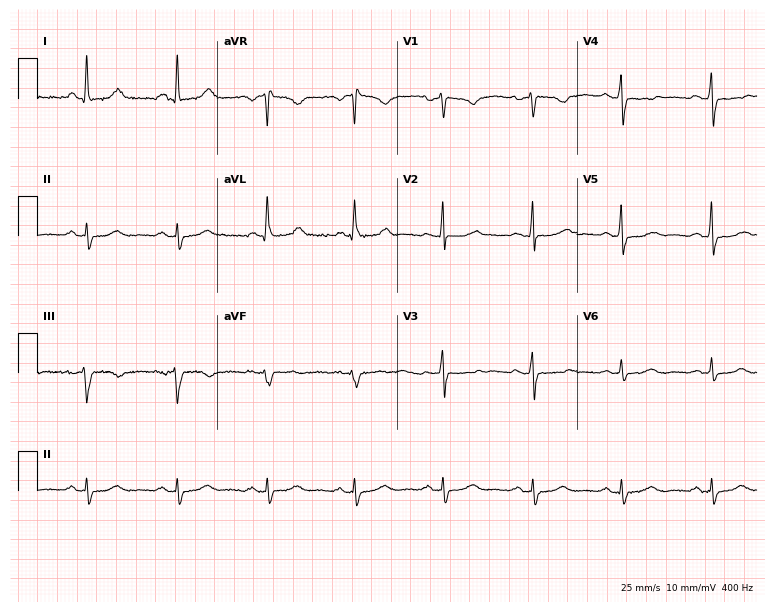
Resting 12-lead electrocardiogram. Patient: a female, 53 years old. Read as a normal ECG.